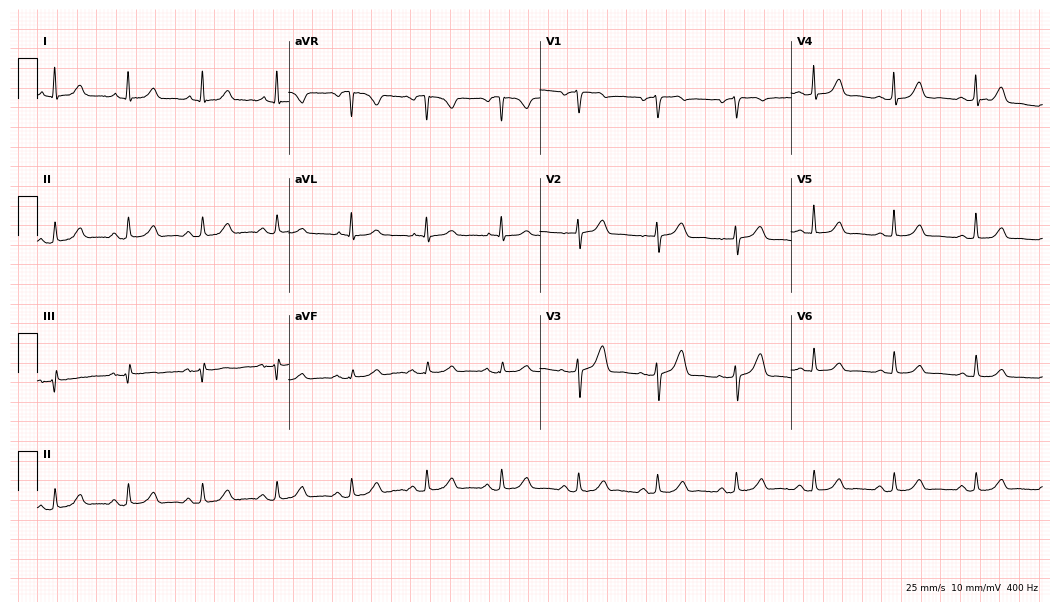
Standard 12-lead ECG recorded from a woman, 56 years old. Read as a normal ECG.